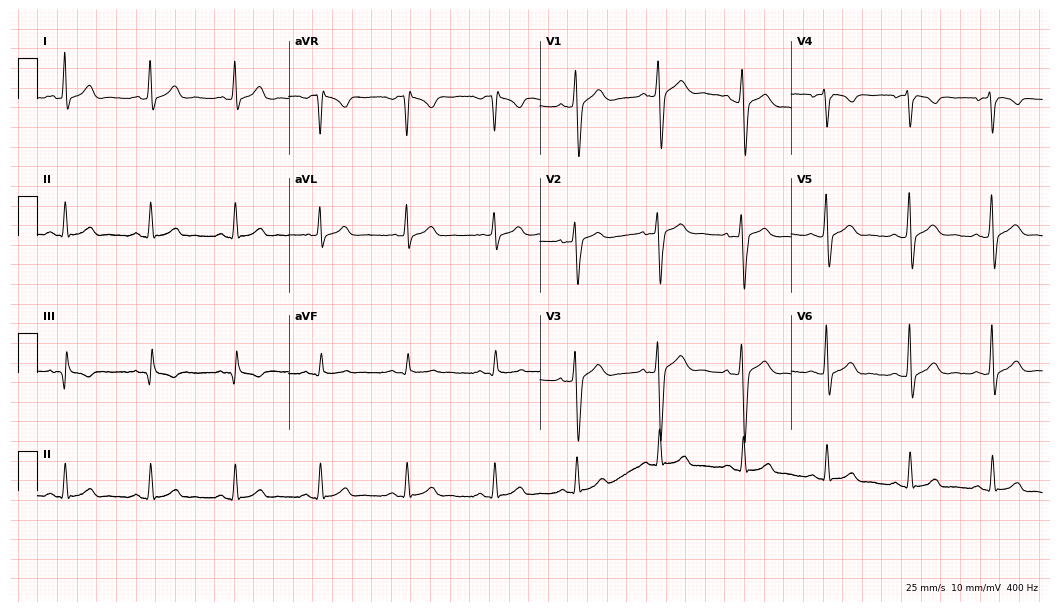
Electrocardiogram (10.2-second recording at 400 Hz), a 38-year-old male. Of the six screened findings (first-degree AV block, right bundle branch block, left bundle branch block, sinus bradycardia, atrial fibrillation, sinus tachycardia), none is recorded. Other findings, if any, are not listed.